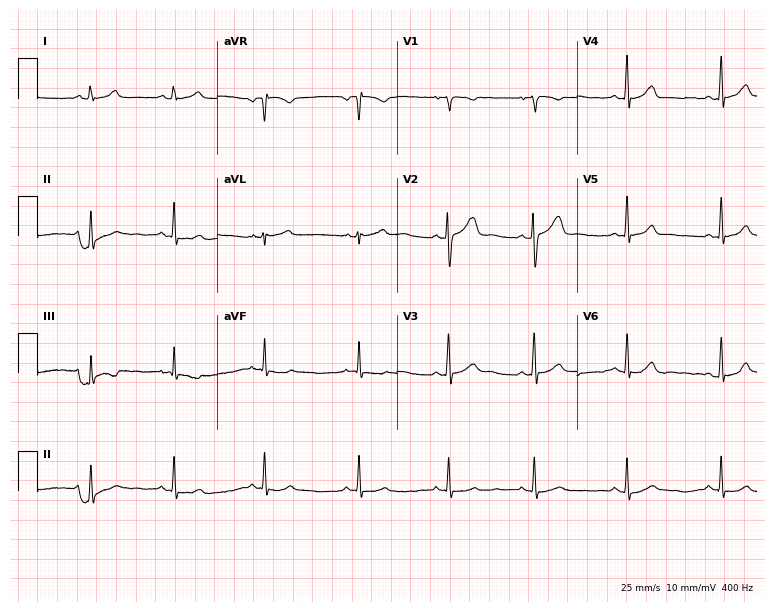
Resting 12-lead electrocardiogram. Patient: a female, 20 years old. None of these six findings is recorded: first-degree AV block, right bundle branch block, left bundle branch block, sinus bradycardia, atrial fibrillation, sinus tachycardia. Only these six findings were labelled.